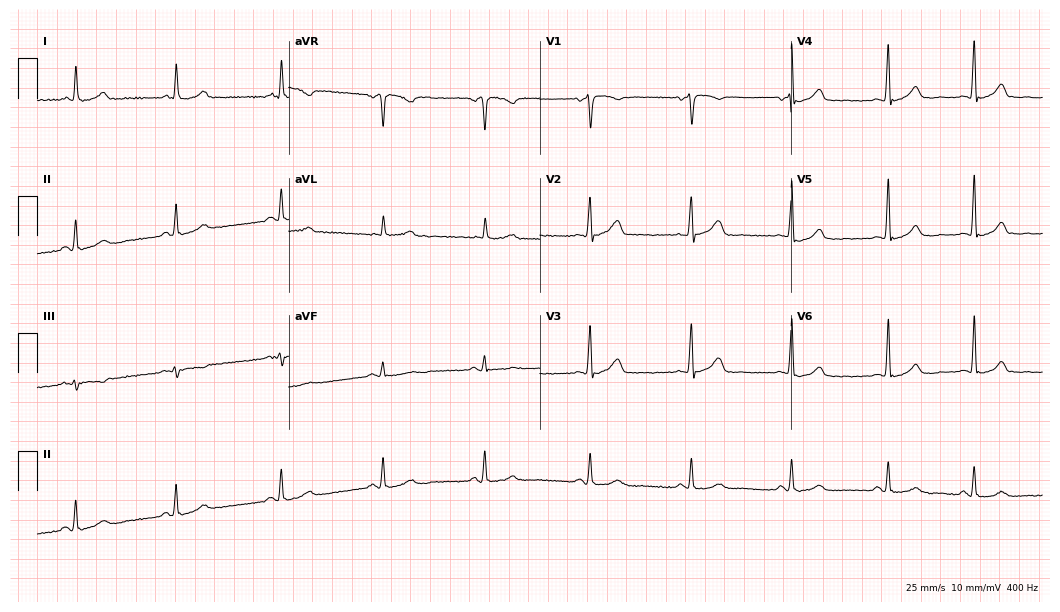
12-lead ECG from a woman, 51 years old. Labelled as a normal ECG.